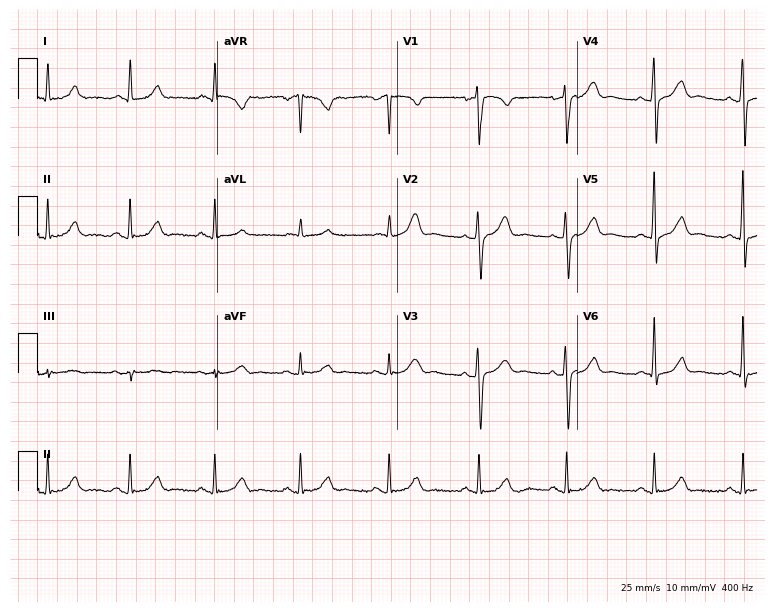
12-lead ECG from a male patient, 48 years old (7.3-second recording at 400 Hz). Recorded interpretation: within normal limits.